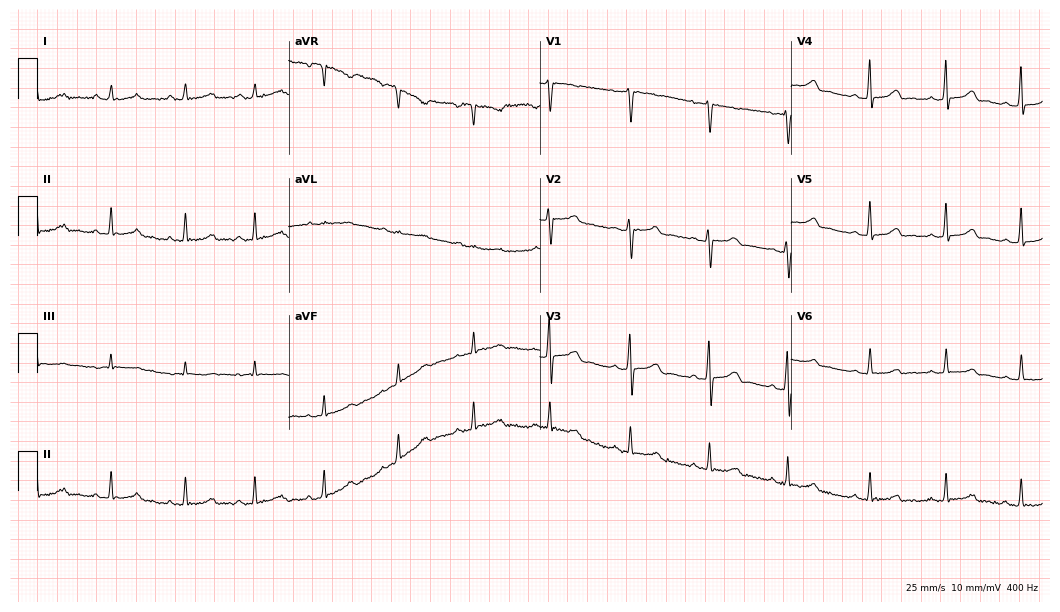
Electrocardiogram (10.2-second recording at 400 Hz), a 35-year-old female. Of the six screened findings (first-degree AV block, right bundle branch block (RBBB), left bundle branch block (LBBB), sinus bradycardia, atrial fibrillation (AF), sinus tachycardia), none is recorded. Other findings, if any, are not listed.